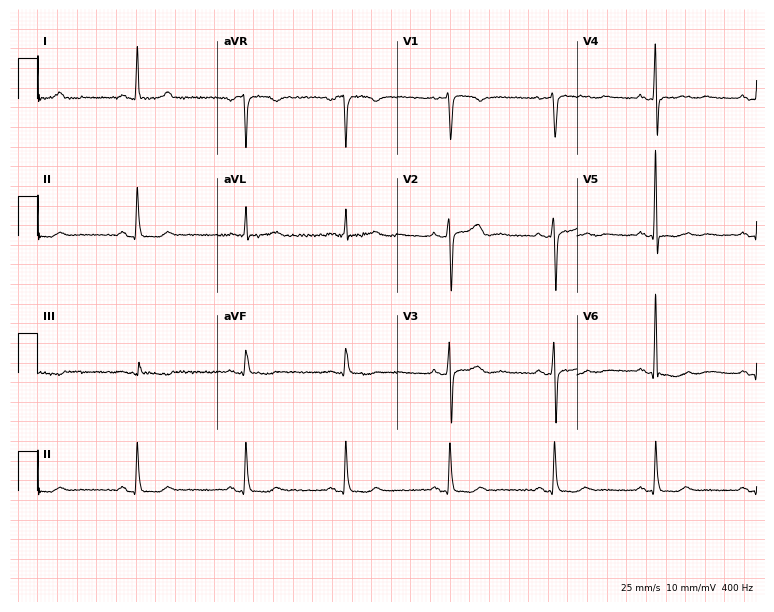
12-lead ECG from a 67-year-old woman (7.3-second recording at 400 Hz). No first-degree AV block, right bundle branch block (RBBB), left bundle branch block (LBBB), sinus bradycardia, atrial fibrillation (AF) or sinus tachycardia recorded for this tracing. Only these six findings were labelled.